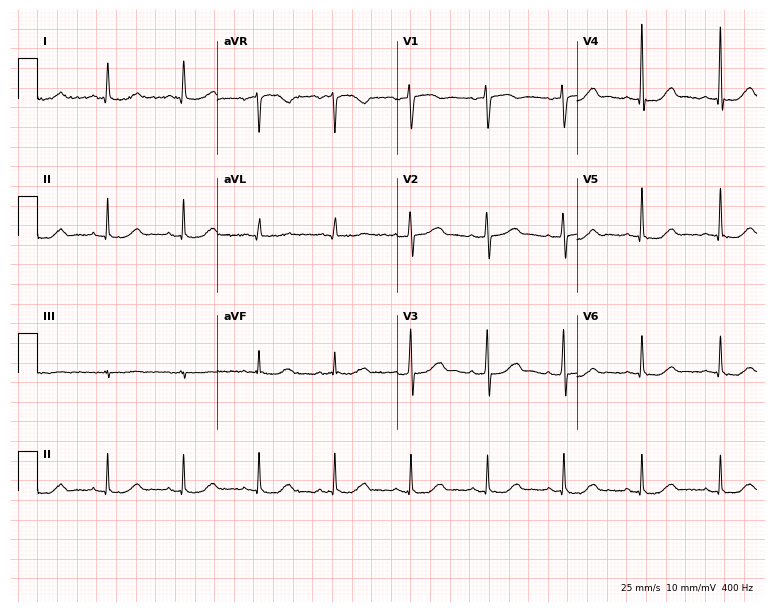
Electrocardiogram, a 79-year-old woman. Overall reading on record: normal ECG.